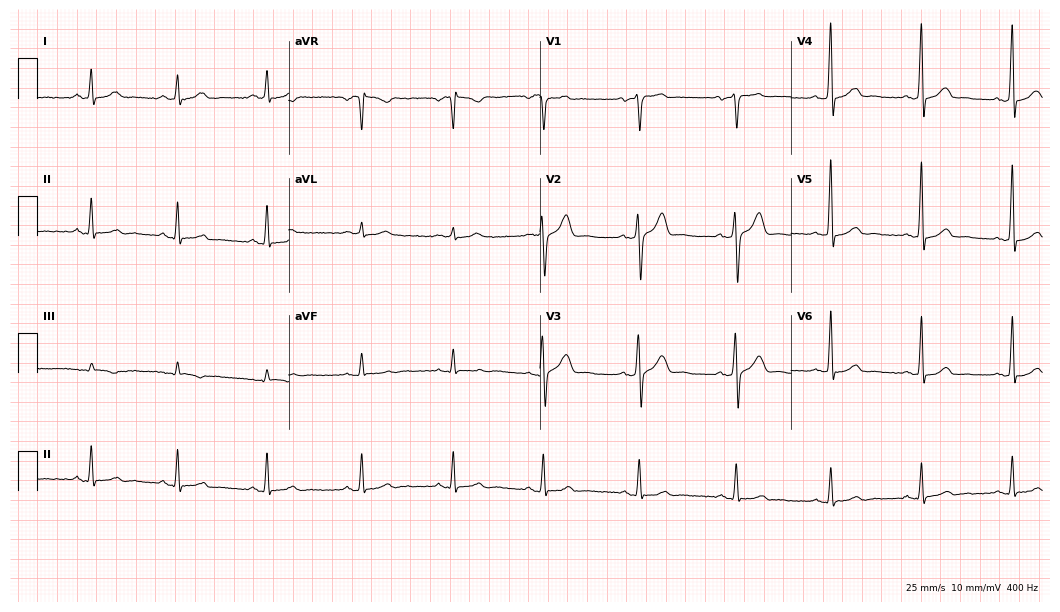
12-lead ECG from a man, 61 years old. Labelled as a normal ECG.